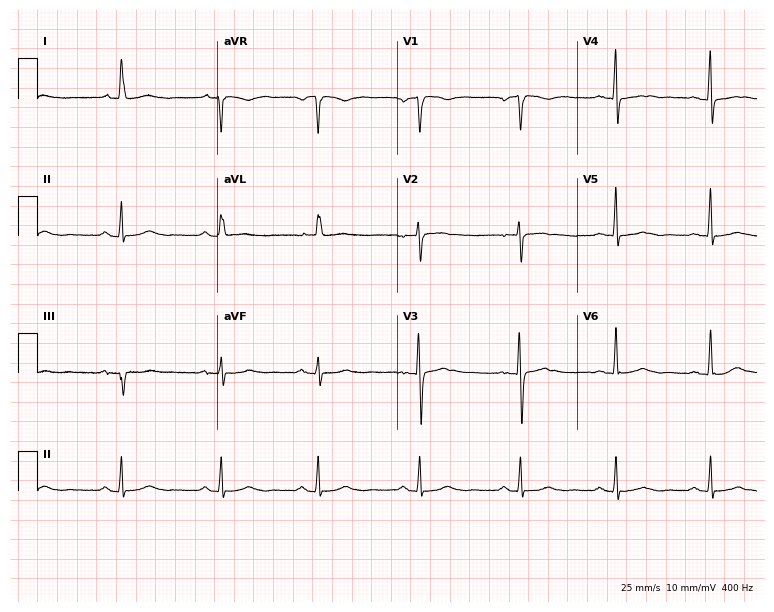
Electrocardiogram (7.3-second recording at 400 Hz), a female patient, 52 years old. Overall reading on record: normal ECG.